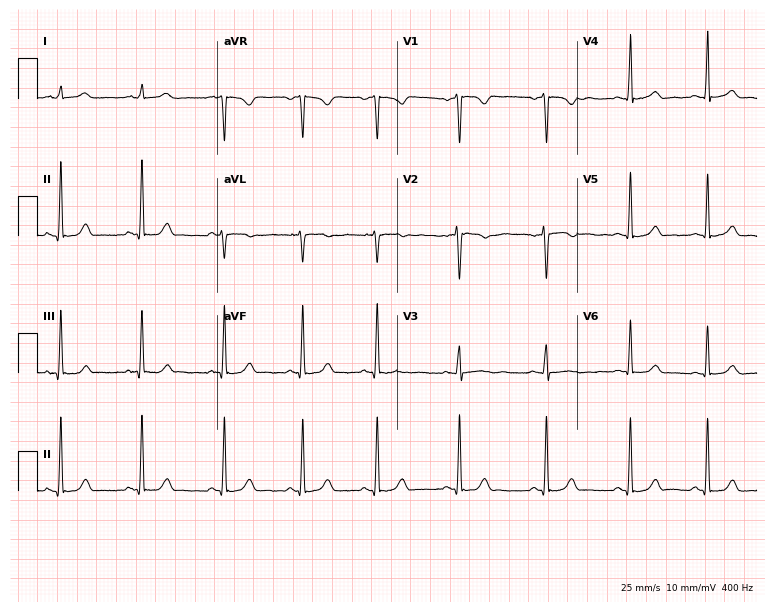
12-lead ECG (7.3-second recording at 400 Hz) from a 23-year-old female. Labelled as a normal ECG.